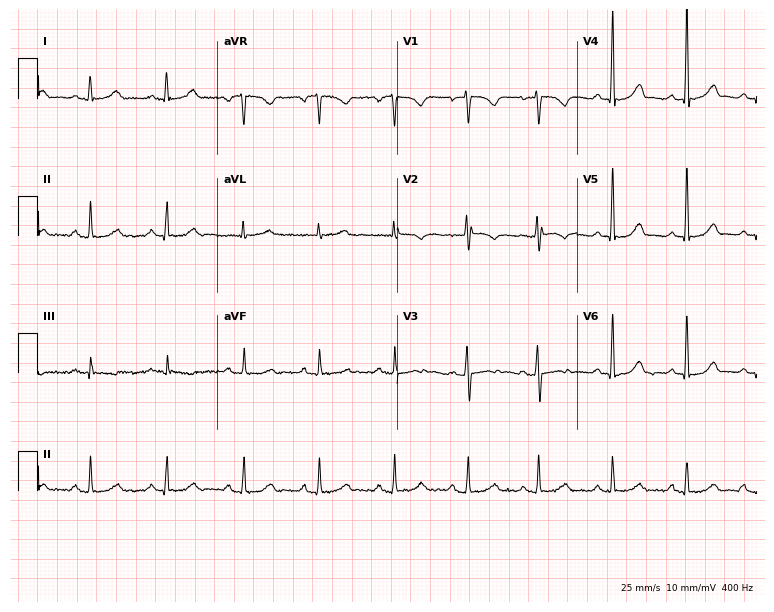
12-lead ECG from a 27-year-old female (7.3-second recording at 400 Hz). No first-degree AV block, right bundle branch block (RBBB), left bundle branch block (LBBB), sinus bradycardia, atrial fibrillation (AF) or sinus tachycardia recorded for this tracing.